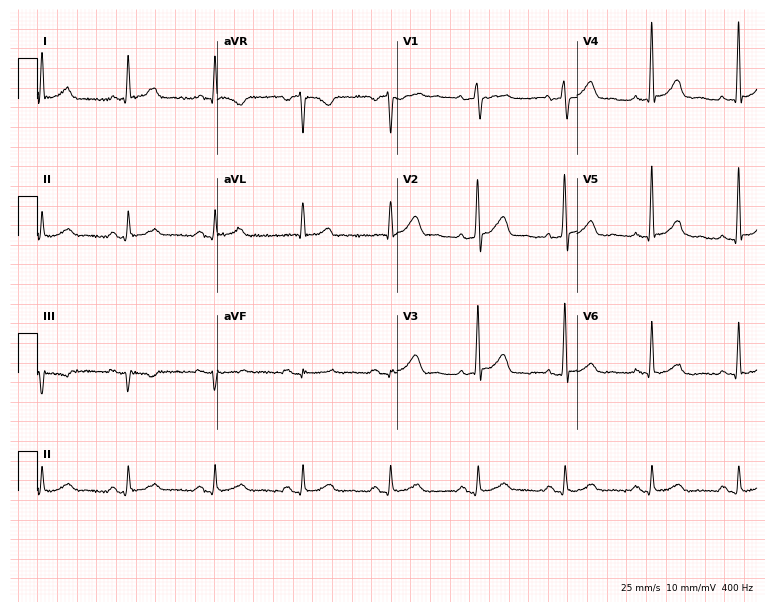
Resting 12-lead electrocardiogram (7.3-second recording at 400 Hz). Patient: a 59-year-old male. None of these six findings is recorded: first-degree AV block, right bundle branch block, left bundle branch block, sinus bradycardia, atrial fibrillation, sinus tachycardia.